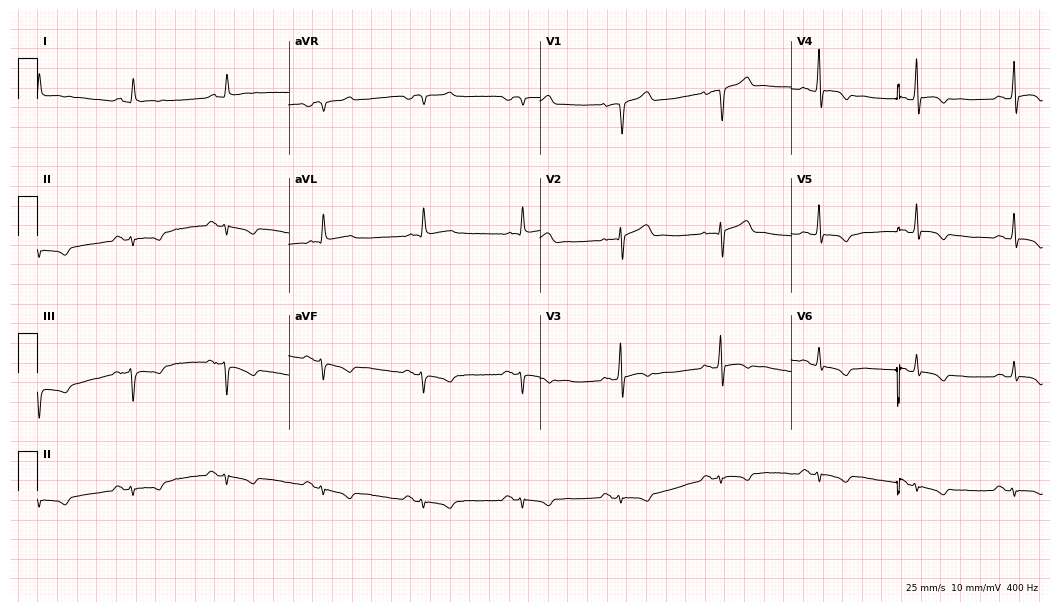
ECG — a 61-year-old male patient. Screened for six findings — first-degree AV block, right bundle branch block, left bundle branch block, sinus bradycardia, atrial fibrillation, sinus tachycardia — none is recorded. Findings outside these six are not listed.